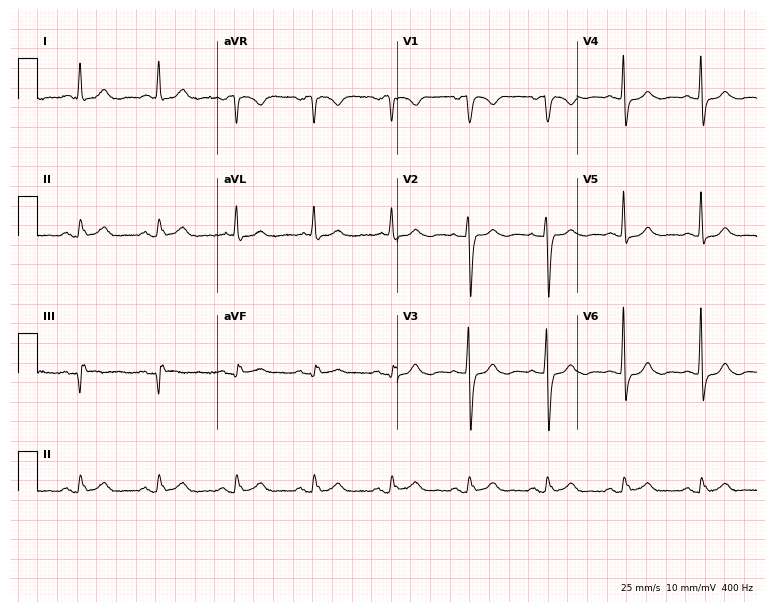
12-lead ECG from a 76-year-old female. Labelled as a normal ECG.